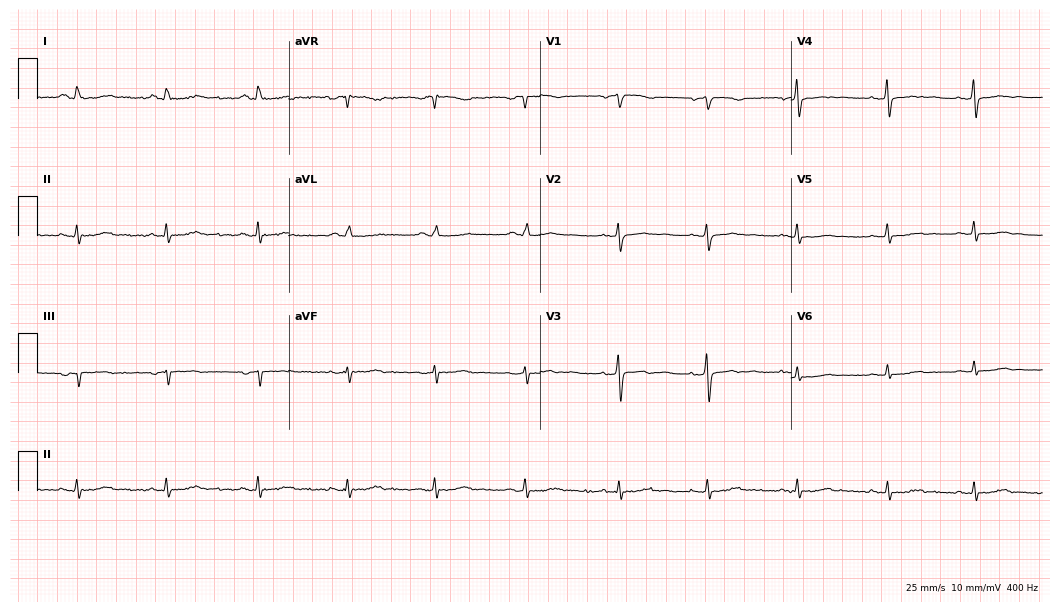
Electrocardiogram (10.2-second recording at 400 Hz), a female patient, 58 years old. Of the six screened findings (first-degree AV block, right bundle branch block (RBBB), left bundle branch block (LBBB), sinus bradycardia, atrial fibrillation (AF), sinus tachycardia), none is recorded. Findings outside these six are not listed.